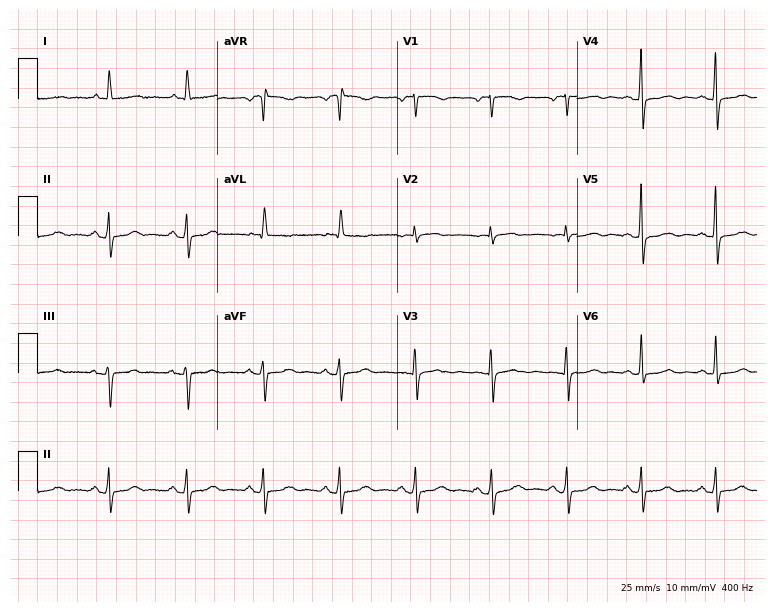
Resting 12-lead electrocardiogram. Patient: a woman, 83 years old. Read as a normal ECG.